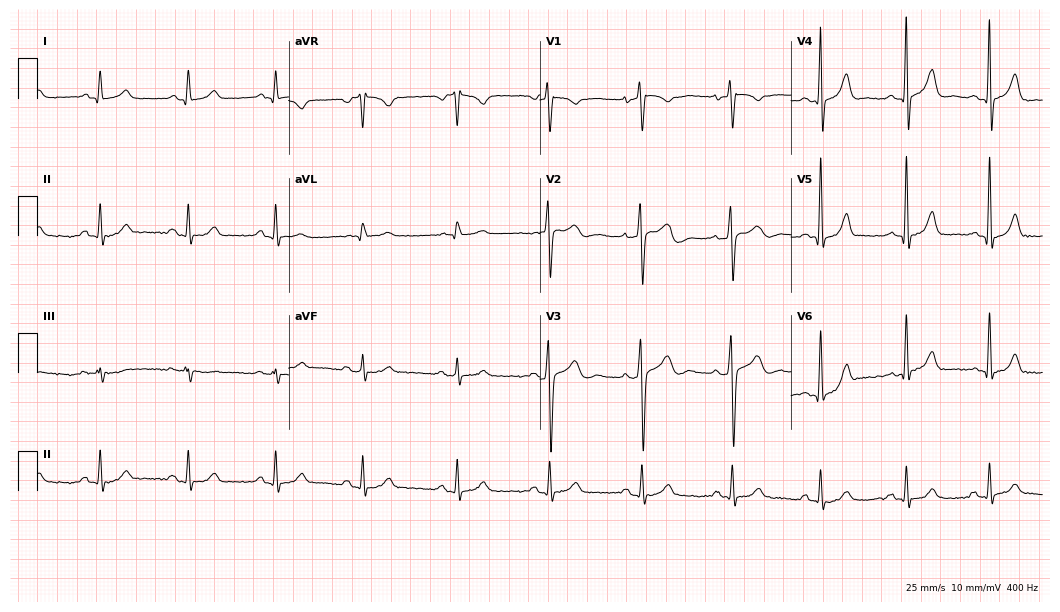
12-lead ECG (10.2-second recording at 400 Hz) from a man, 40 years old. Labelled as a normal ECG.